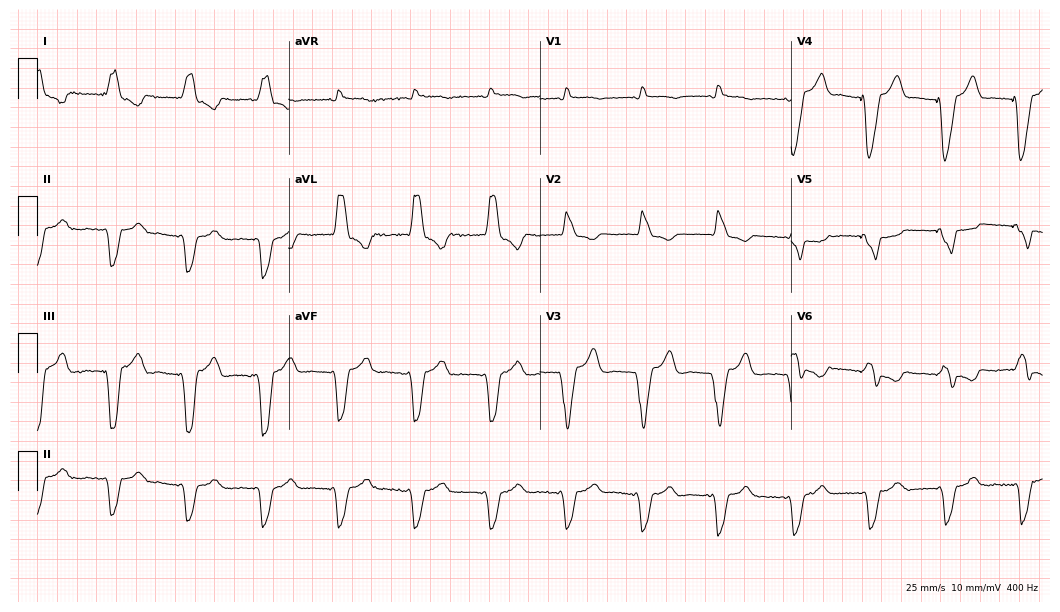
Standard 12-lead ECG recorded from a 77-year-old female patient. None of these six findings is recorded: first-degree AV block, right bundle branch block, left bundle branch block, sinus bradycardia, atrial fibrillation, sinus tachycardia.